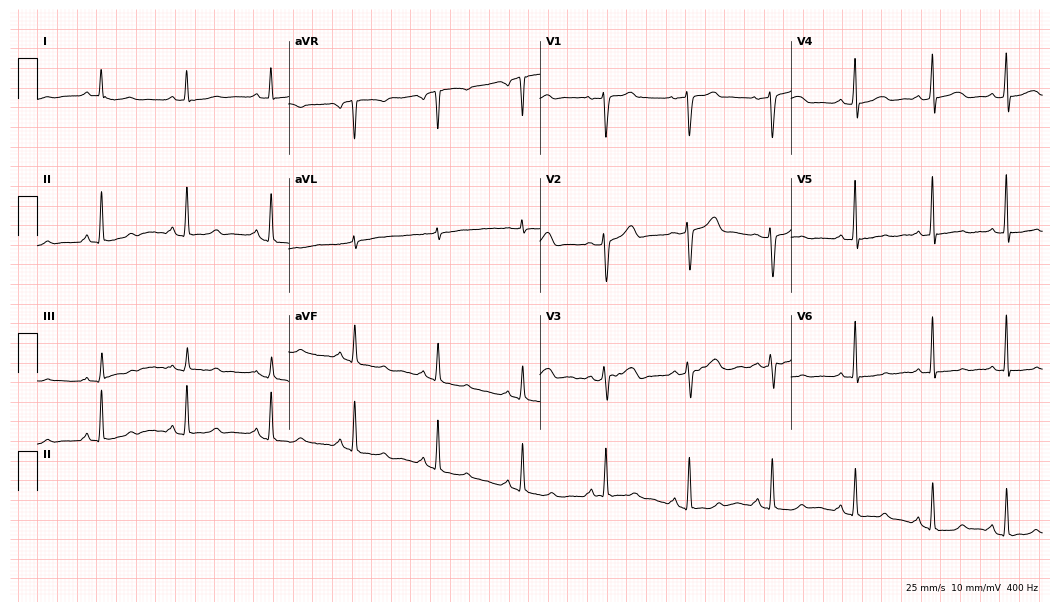
12-lead ECG (10.2-second recording at 400 Hz) from a female, 50 years old. Screened for six findings — first-degree AV block, right bundle branch block (RBBB), left bundle branch block (LBBB), sinus bradycardia, atrial fibrillation (AF), sinus tachycardia — none is recorded.